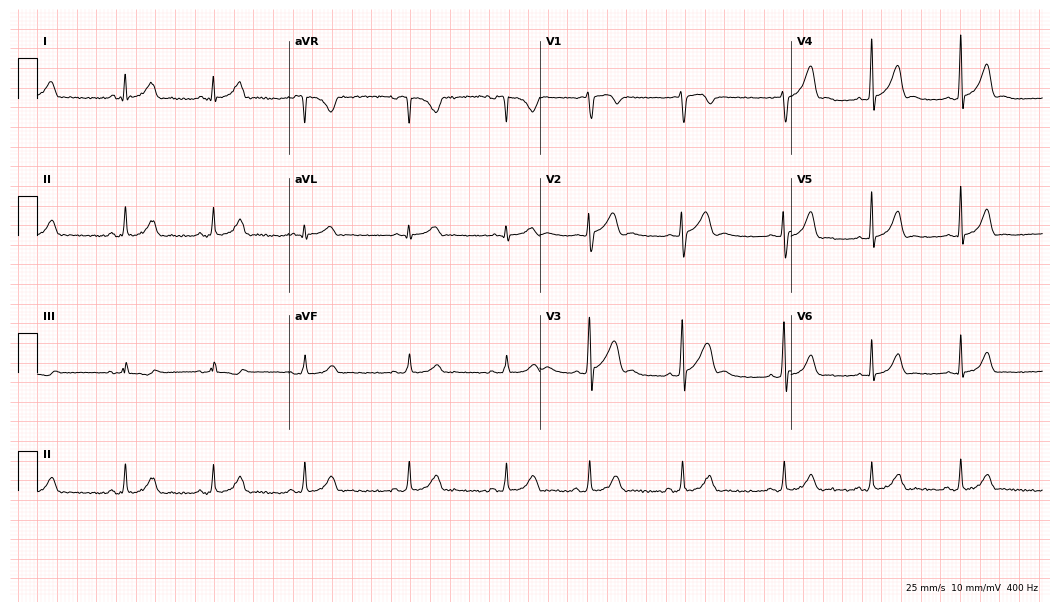
12-lead ECG from a male, 19 years old. Labelled as a normal ECG.